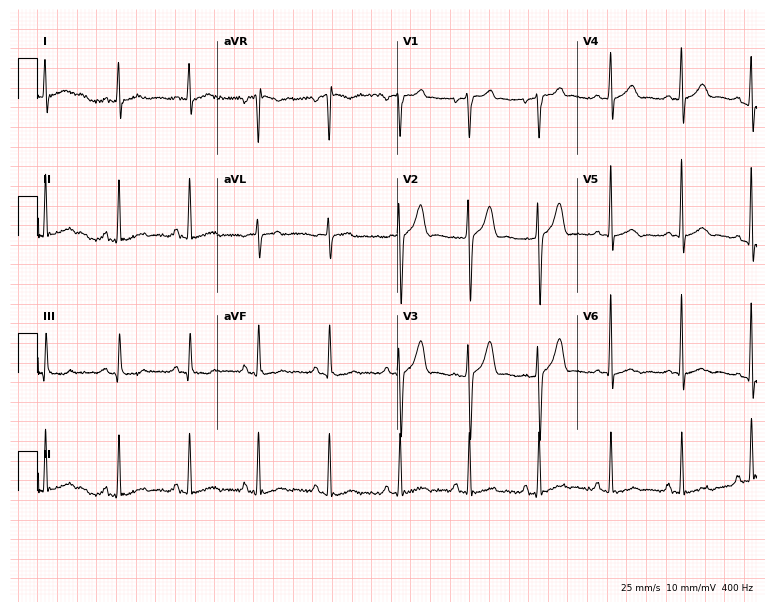
ECG (7.3-second recording at 400 Hz) — a man, 25 years old. Labelled as a normal ECG.